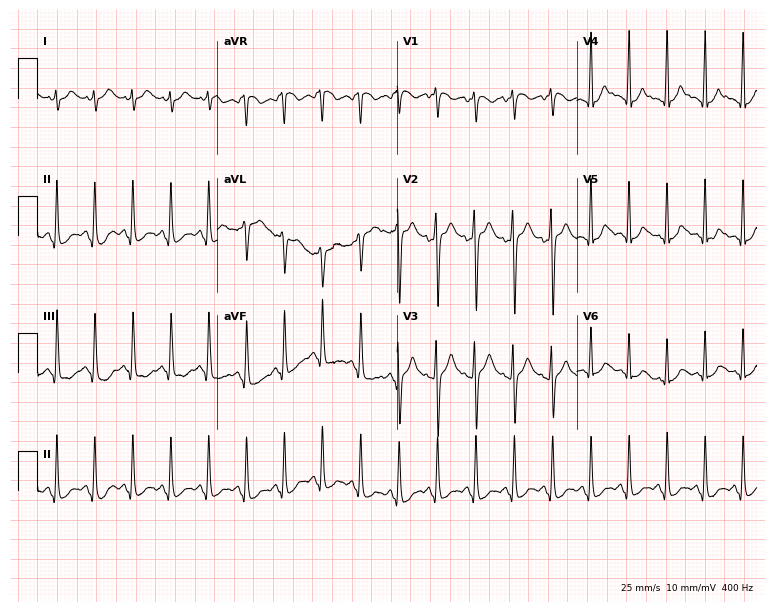
ECG (7.3-second recording at 400 Hz) — a female, 24 years old. Findings include sinus tachycardia (a sinus rate of 100 beats per minute or more).